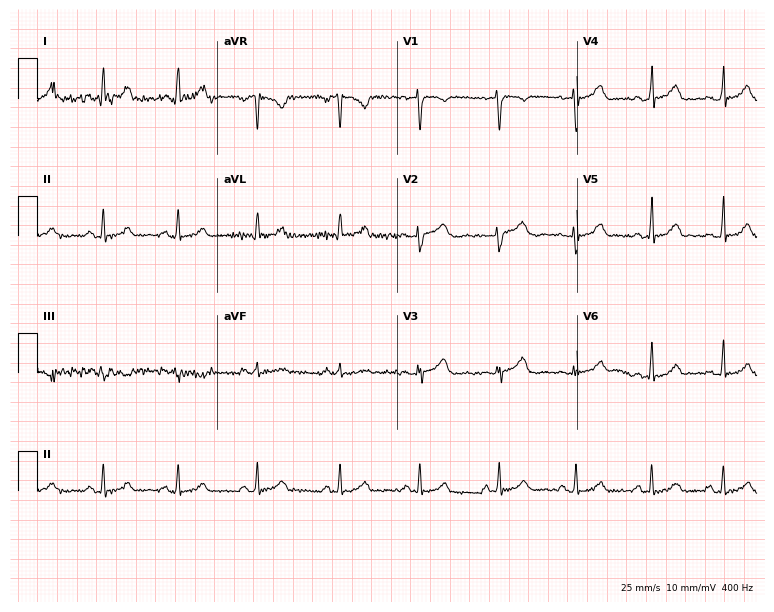
Resting 12-lead electrocardiogram (7.3-second recording at 400 Hz). Patient: a female, 39 years old. Read as a normal ECG.